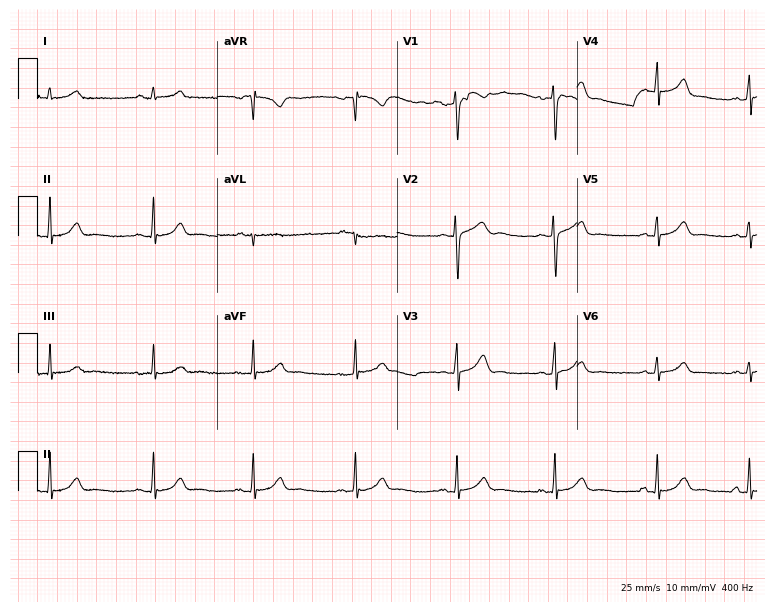
12-lead ECG from a female patient, 19 years old (7.3-second recording at 400 Hz). Recorded interpretation: within normal limits.